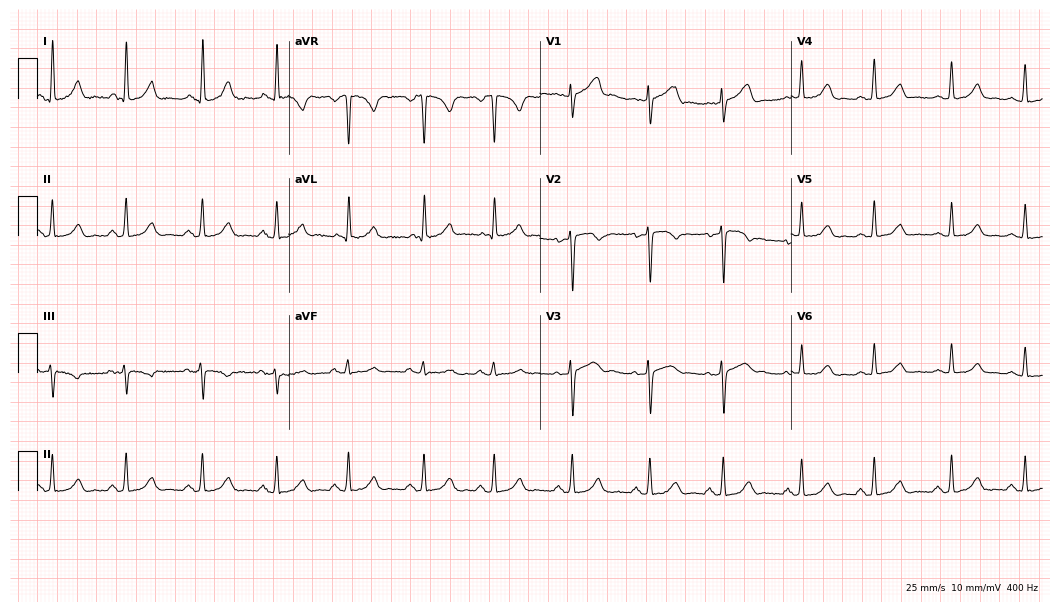
Standard 12-lead ECG recorded from a 49-year-old female (10.2-second recording at 400 Hz). Read as a normal ECG.